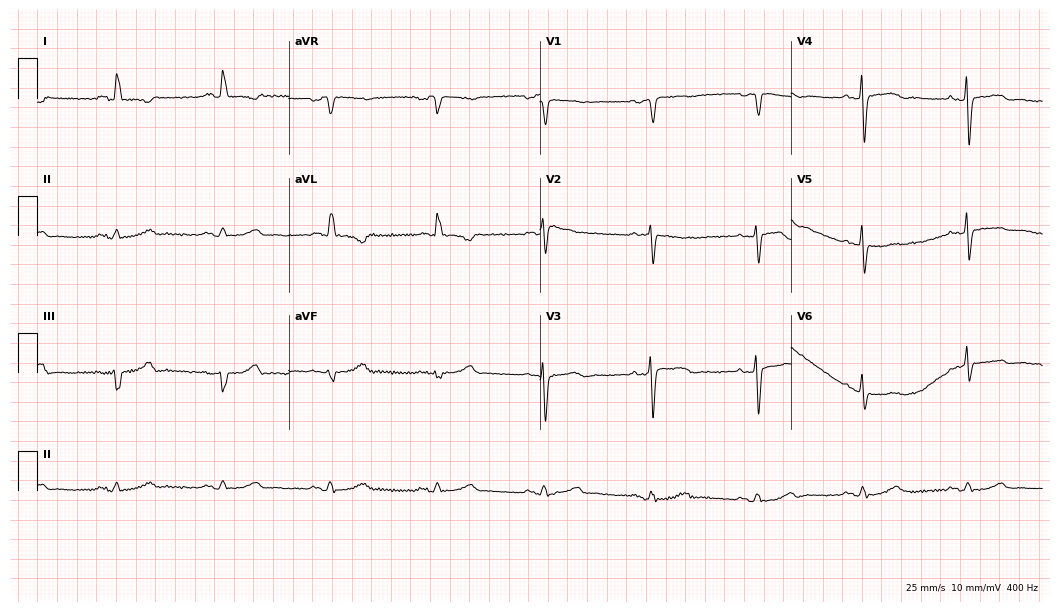
Electrocardiogram (10.2-second recording at 400 Hz), a 78-year-old woman. Of the six screened findings (first-degree AV block, right bundle branch block (RBBB), left bundle branch block (LBBB), sinus bradycardia, atrial fibrillation (AF), sinus tachycardia), none is recorded. Only these six findings were labelled.